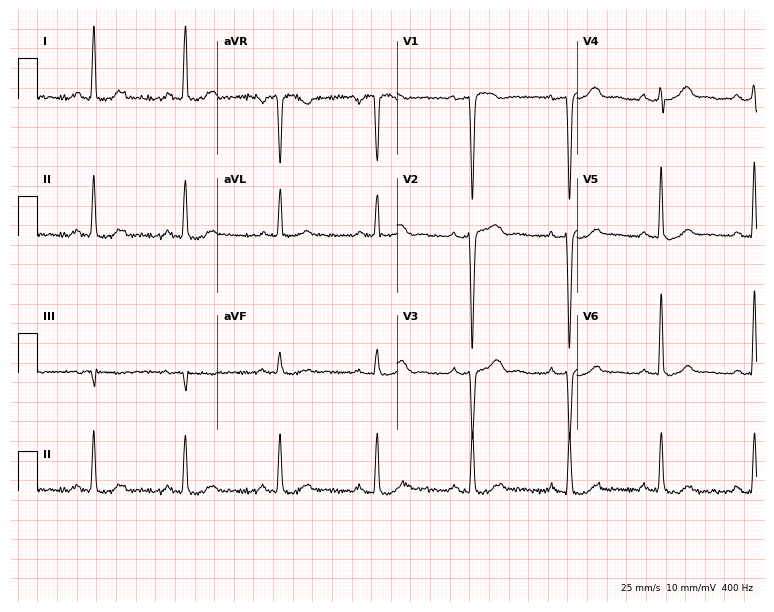
Electrocardiogram (7.3-second recording at 400 Hz), a female patient, 48 years old. Overall reading on record: normal ECG.